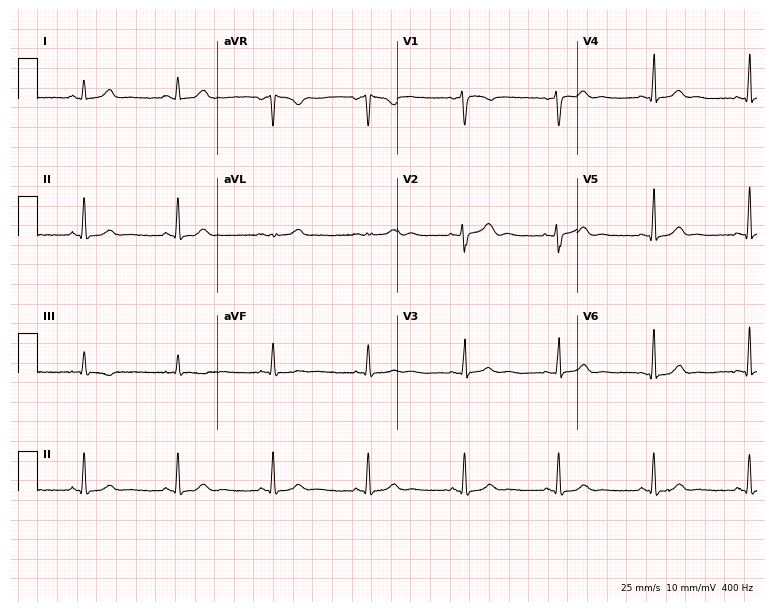
12-lead ECG from a 26-year-old female patient (7.3-second recording at 400 Hz). No first-degree AV block, right bundle branch block (RBBB), left bundle branch block (LBBB), sinus bradycardia, atrial fibrillation (AF) or sinus tachycardia recorded for this tracing. Findings outside these six are not listed.